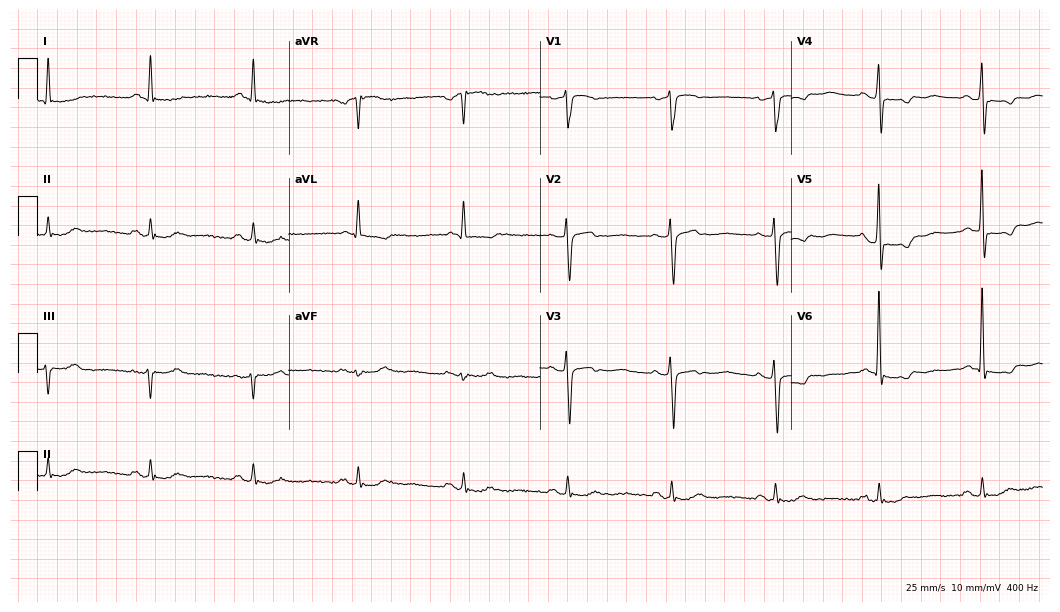
ECG — a man, 66 years old. Findings include sinus bradycardia (a sinus rate of 50 beats per minute or less).